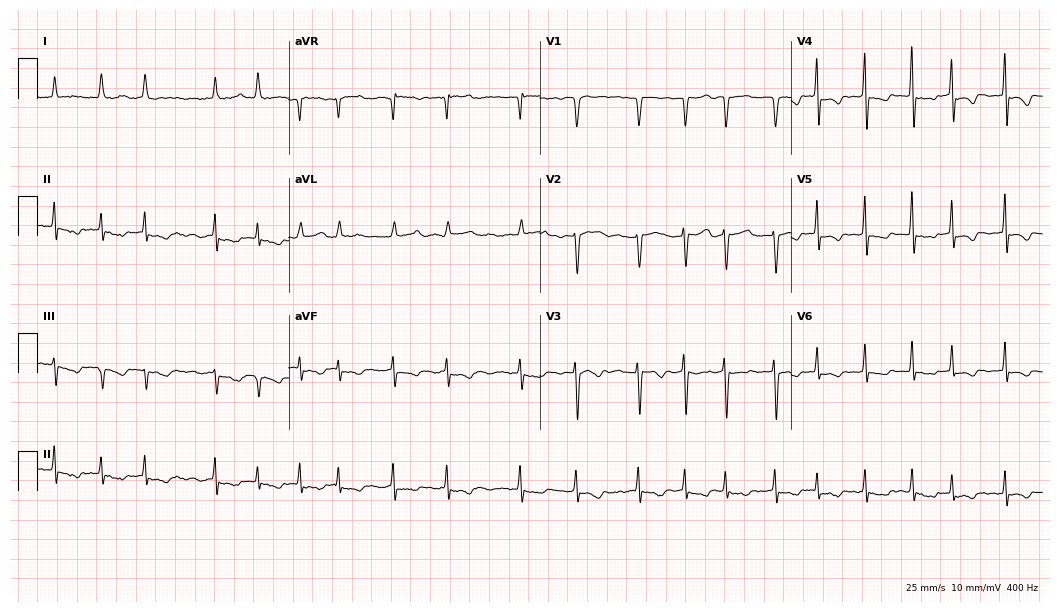
Standard 12-lead ECG recorded from a female, 71 years old (10.2-second recording at 400 Hz). The tracing shows atrial fibrillation.